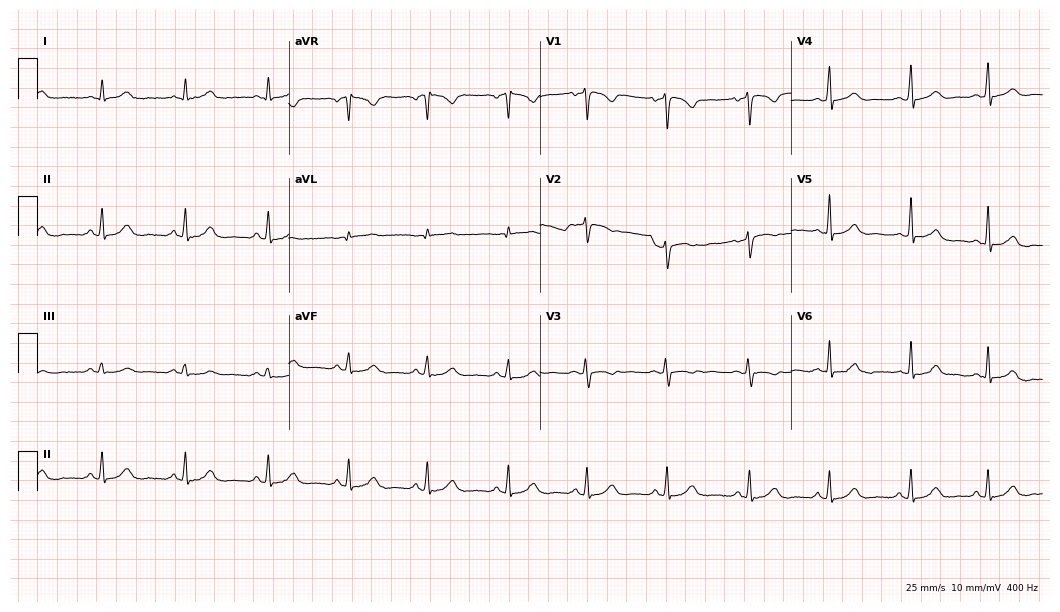
12-lead ECG from a woman, 32 years old. Screened for six findings — first-degree AV block, right bundle branch block, left bundle branch block, sinus bradycardia, atrial fibrillation, sinus tachycardia — none is recorded. Other findings, if any, are not listed.